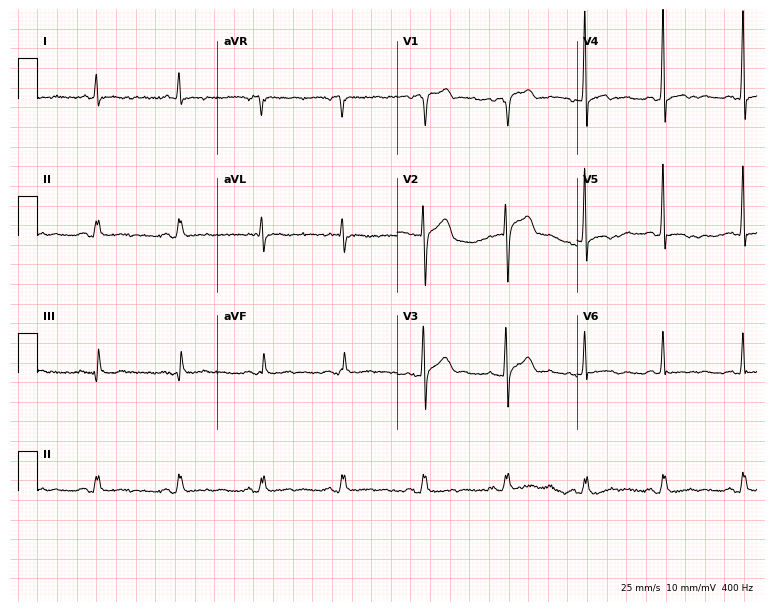
Standard 12-lead ECG recorded from a man, 55 years old. None of these six findings is recorded: first-degree AV block, right bundle branch block (RBBB), left bundle branch block (LBBB), sinus bradycardia, atrial fibrillation (AF), sinus tachycardia. Findings outside these six are not listed.